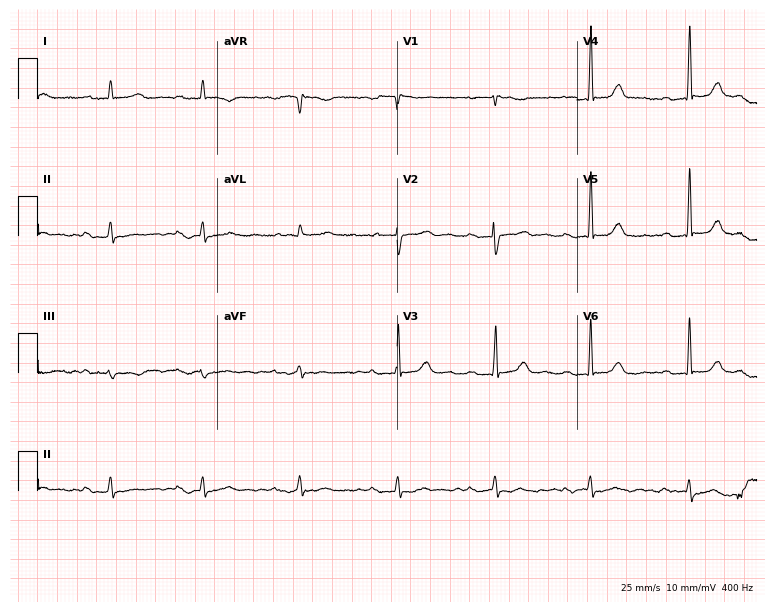
ECG — a 45-year-old female. Findings include first-degree AV block.